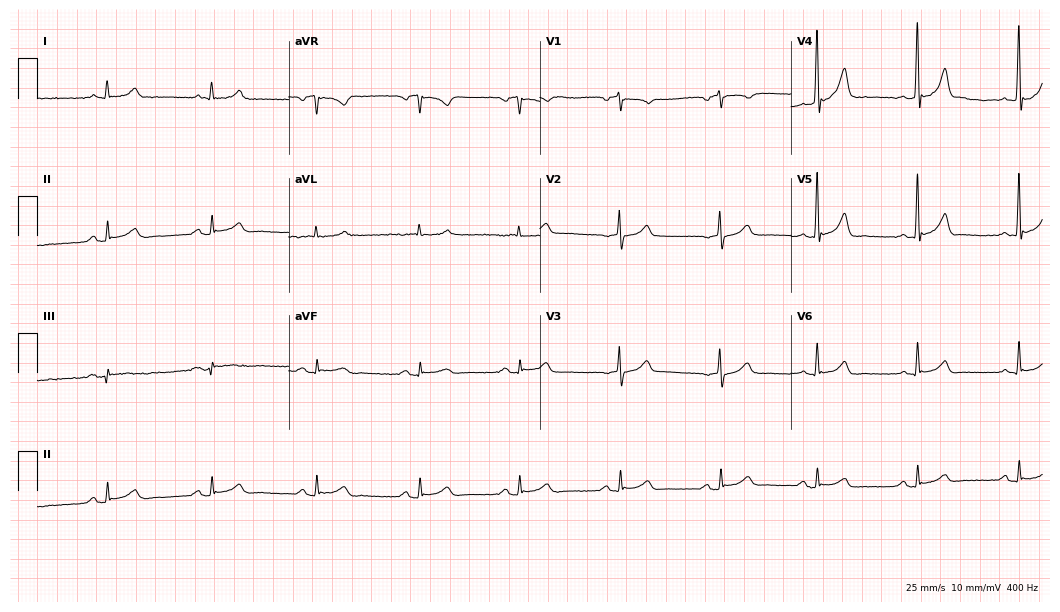
Standard 12-lead ECG recorded from a 45-year-old male patient. Read as a normal ECG.